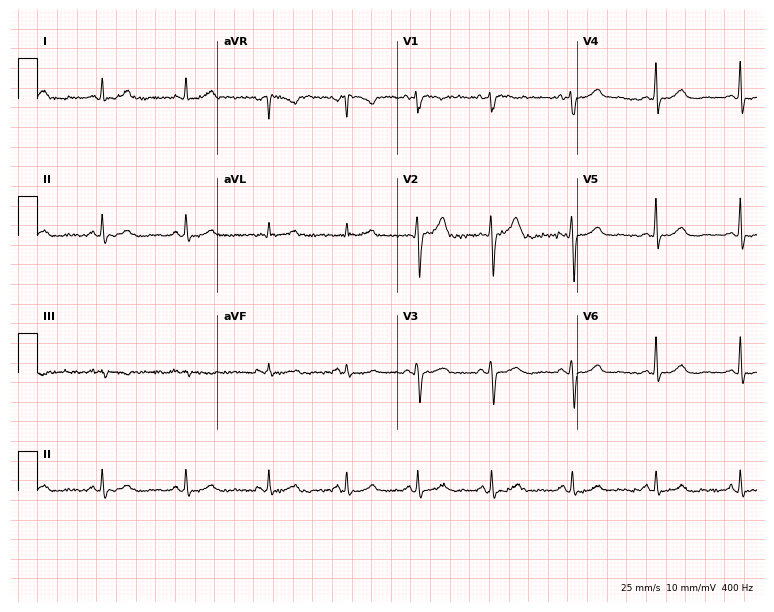
12-lead ECG from a 54-year-old man (7.3-second recording at 400 Hz). Recorded interpretation: within normal limits.